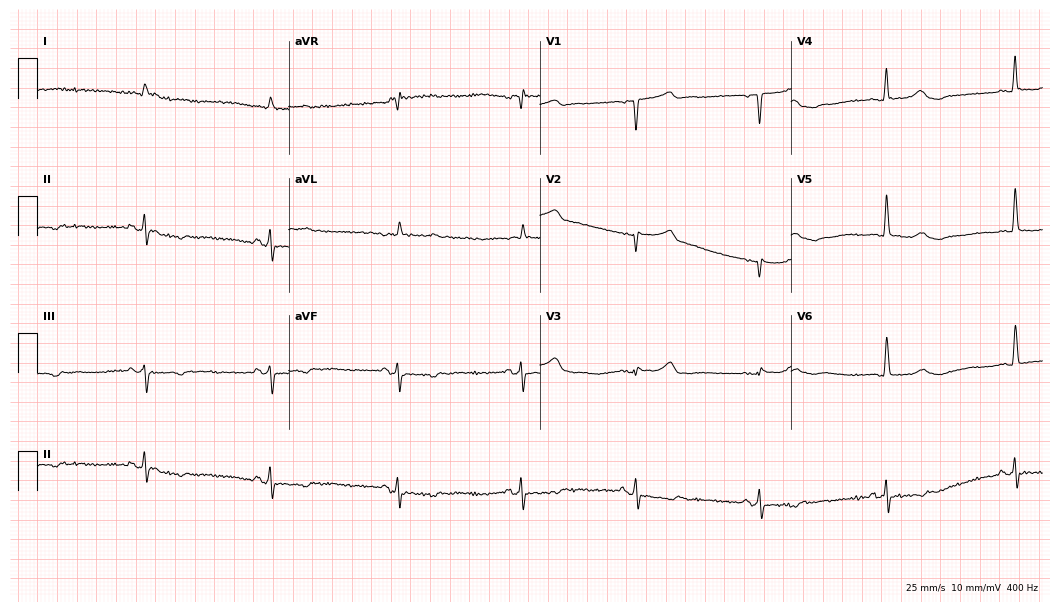
ECG (10.2-second recording at 400 Hz) — an 83-year-old male patient. Findings include sinus bradycardia (a sinus rate of 50 beats per minute or less).